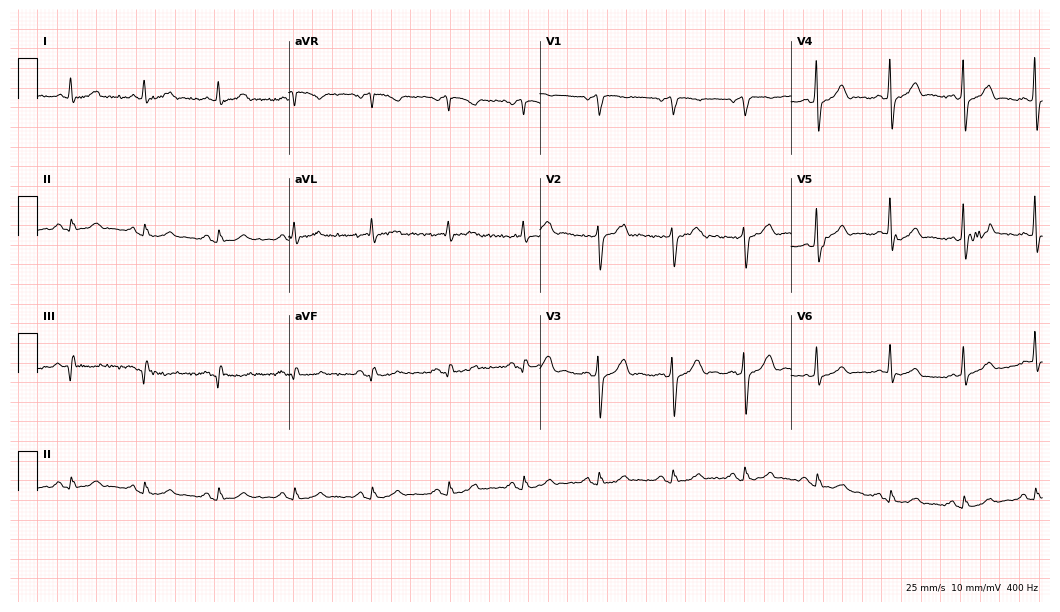
12-lead ECG from a 65-year-old male. Labelled as a normal ECG.